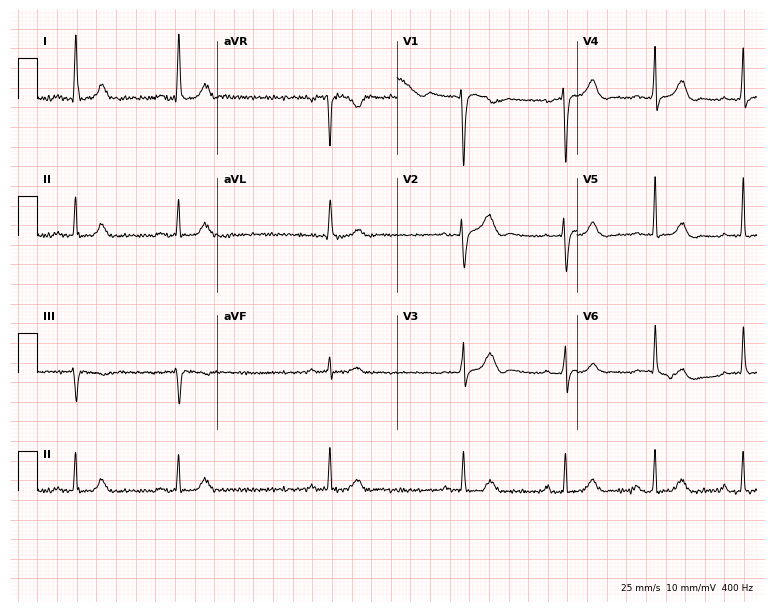
Electrocardiogram, a female patient, 40 years old. Of the six screened findings (first-degree AV block, right bundle branch block, left bundle branch block, sinus bradycardia, atrial fibrillation, sinus tachycardia), none is recorded.